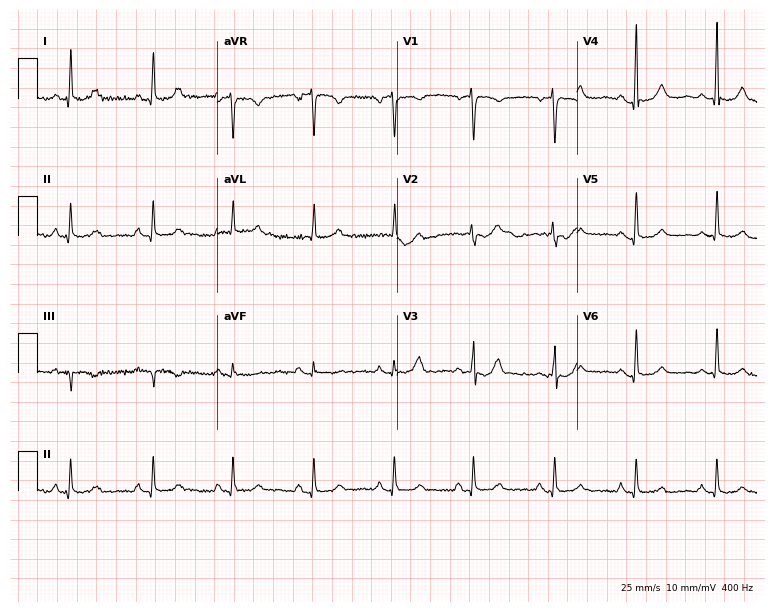
Resting 12-lead electrocardiogram. Patient: a 60-year-old woman. None of these six findings is recorded: first-degree AV block, right bundle branch block, left bundle branch block, sinus bradycardia, atrial fibrillation, sinus tachycardia. Findings outside these six are not listed.